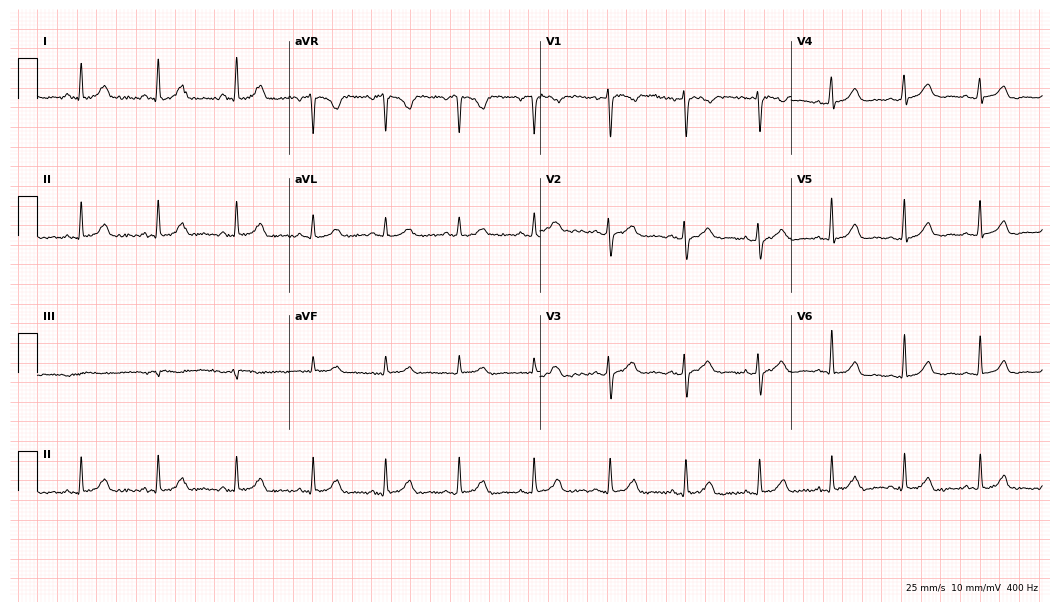
Standard 12-lead ECG recorded from a female, 29 years old (10.2-second recording at 400 Hz). None of these six findings is recorded: first-degree AV block, right bundle branch block, left bundle branch block, sinus bradycardia, atrial fibrillation, sinus tachycardia.